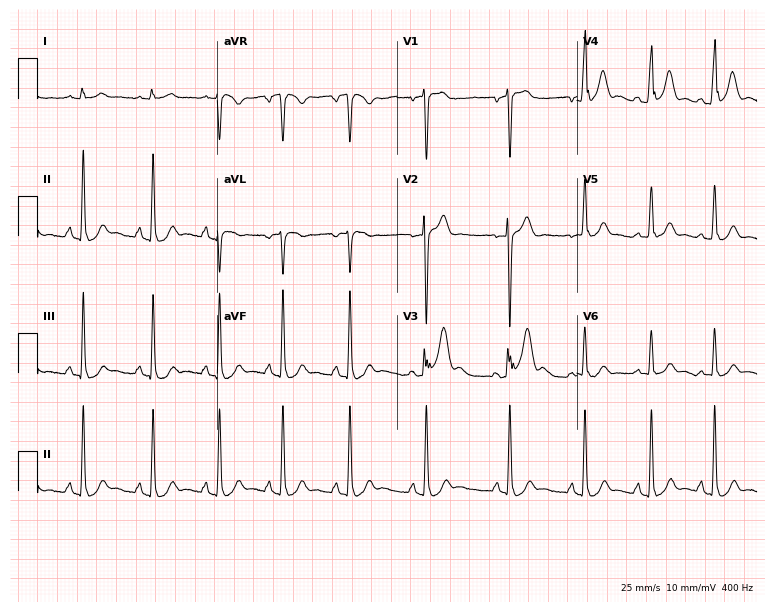
Resting 12-lead electrocardiogram. Patient: a man, 33 years old. Read as a normal ECG.